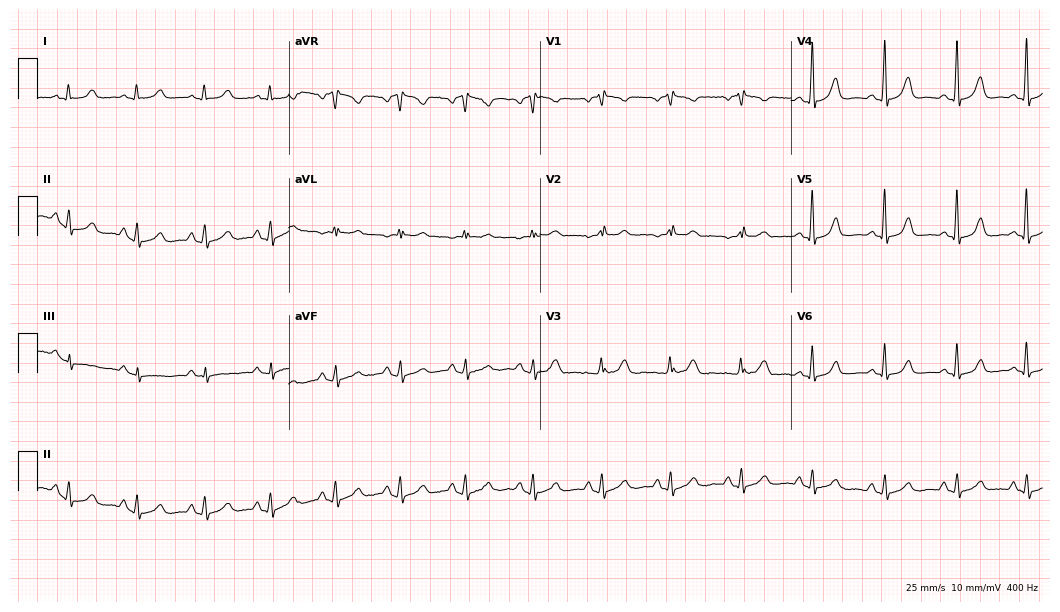
12-lead ECG from a 47-year-old female. Screened for six findings — first-degree AV block, right bundle branch block, left bundle branch block, sinus bradycardia, atrial fibrillation, sinus tachycardia — none is recorded. Findings outside these six are not listed.